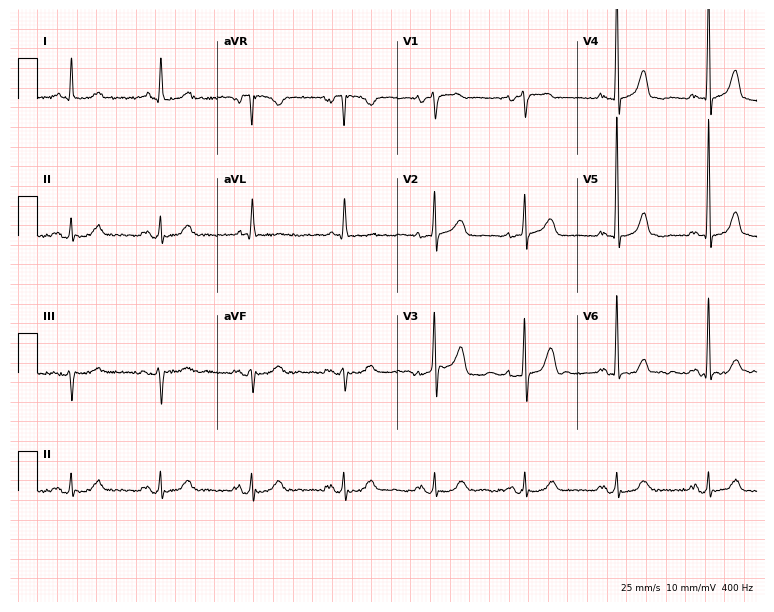
Electrocardiogram (7.3-second recording at 400 Hz), an 86-year-old female. Overall reading on record: normal ECG.